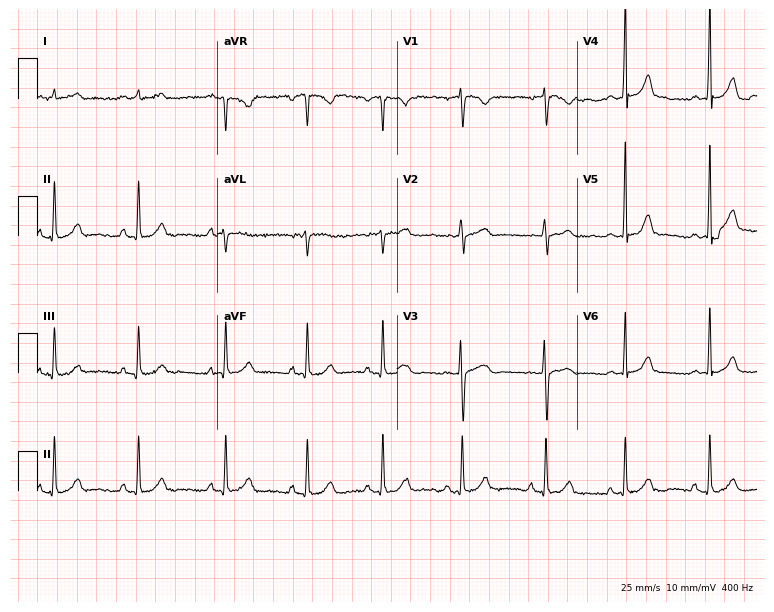
12-lead ECG (7.3-second recording at 400 Hz) from a 28-year-old woman. Labelled as a normal ECG.